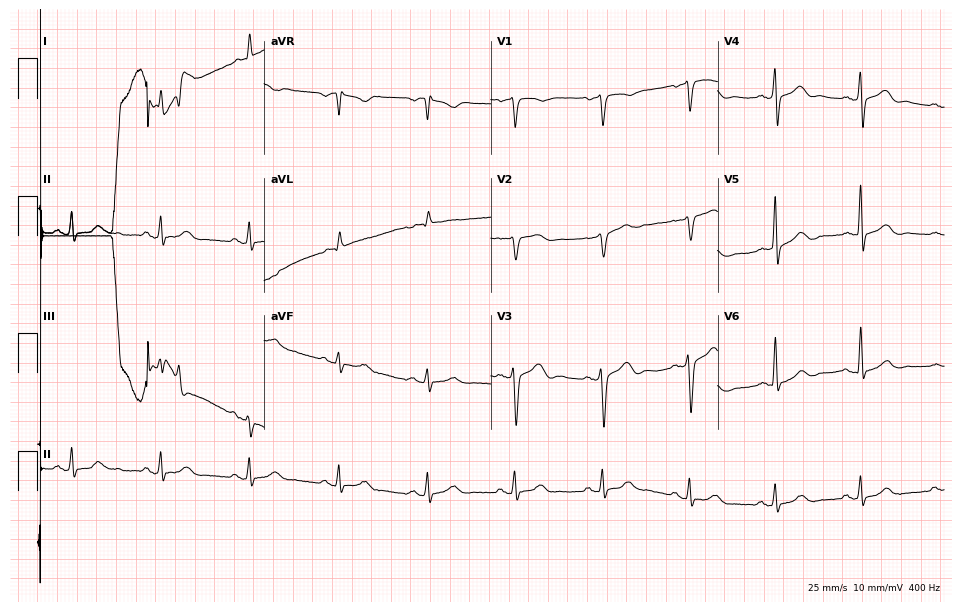
12-lead ECG from a male, 71 years old. No first-degree AV block, right bundle branch block, left bundle branch block, sinus bradycardia, atrial fibrillation or sinus tachycardia recorded for this tracing. Findings outside these six are not listed.